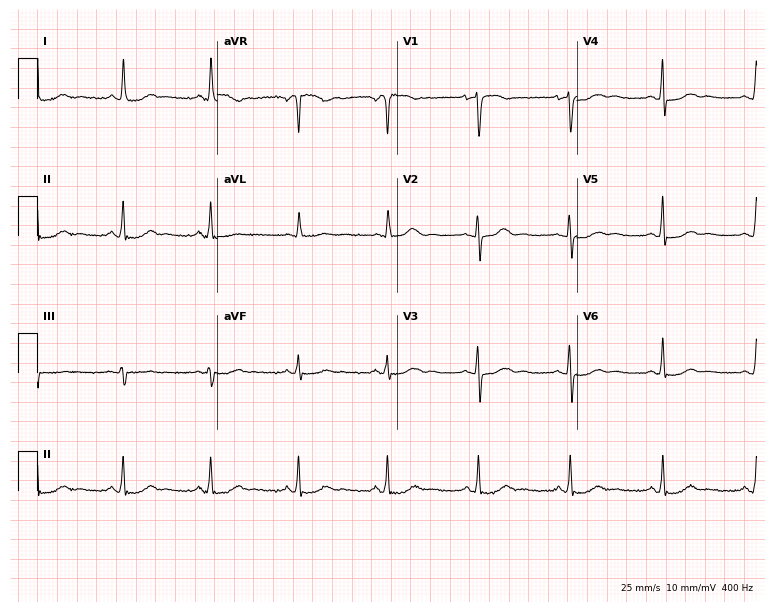
Standard 12-lead ECG recorded from a woman, 54 years old (7.3-second recording at 400 Hz). Read as a normal ECG.